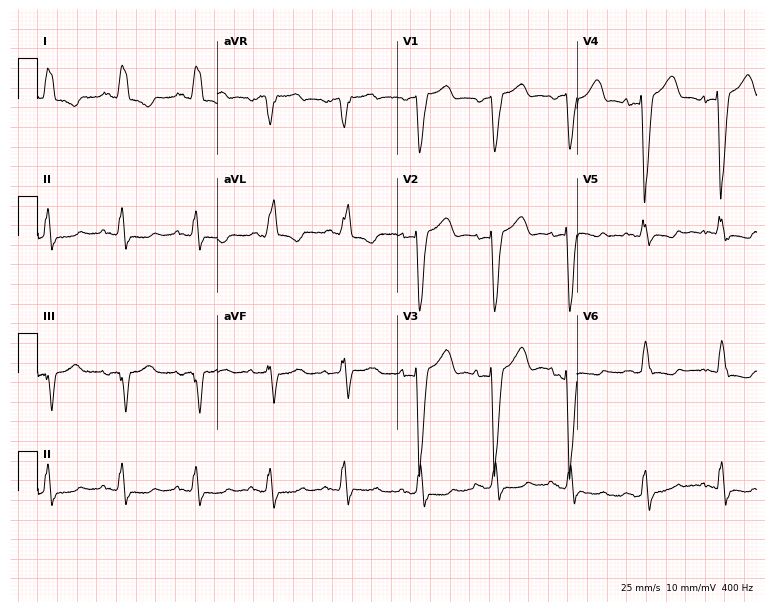
Resting 12-lead electrocardiogram (7.3-second recording at 400 Hz). Patient: a female, 84 years old. The tracing shows left bundle branch block (LBBB).